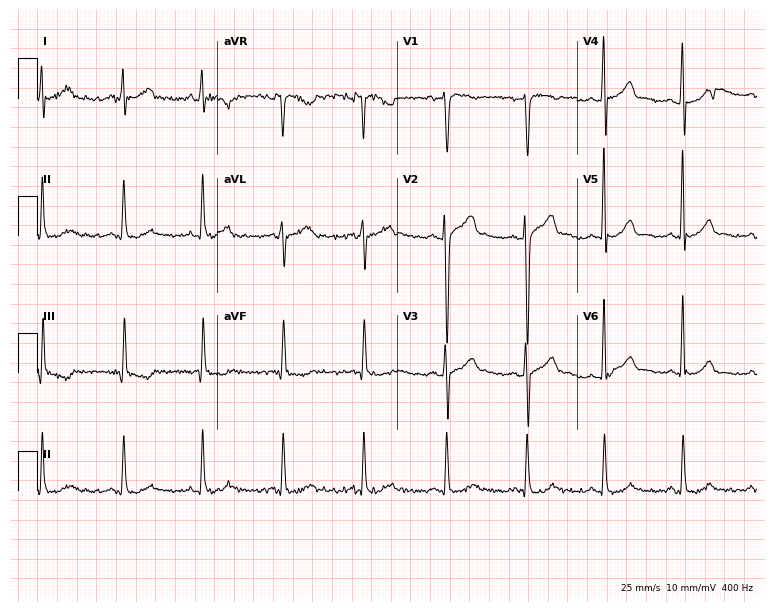
Standard 12-lead ECG recorded from a 34-year-old man (7.3-second recording at 400 Hz). Read as a normal ECG.